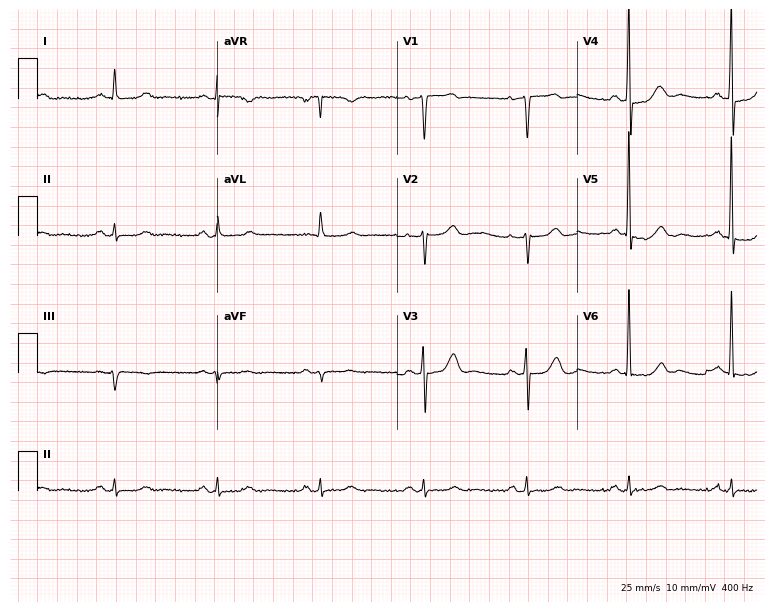
12-lead ECG from a male patient, 82 years old (7.3-second recording at 400 Hz). No first-degree AV block, right bundle branch block, left bundle branch block, sinus bradycardia, atrial fibrillation or sinus tachycardia recorded for this tracing. Only these six findings were labelled.